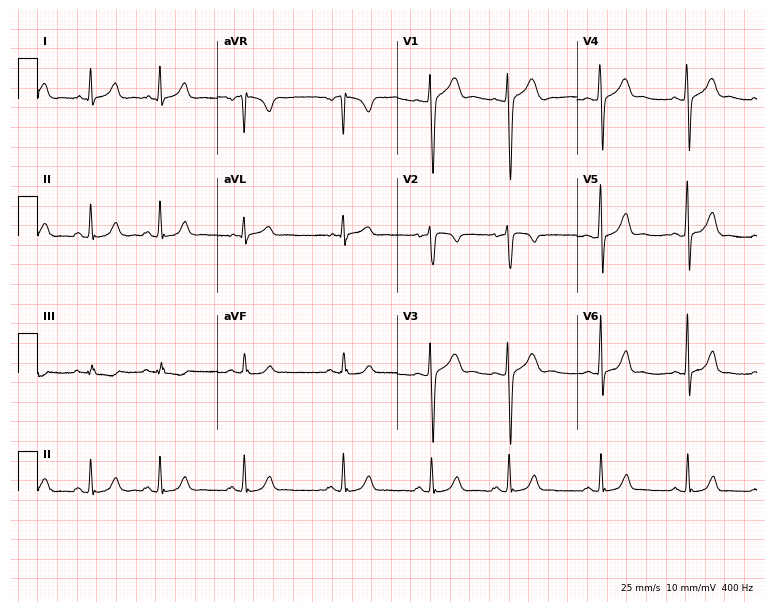
ECG (7.3-second recording at 400 Hz) — a 21-year-old female. Labelled as a normal ECG.